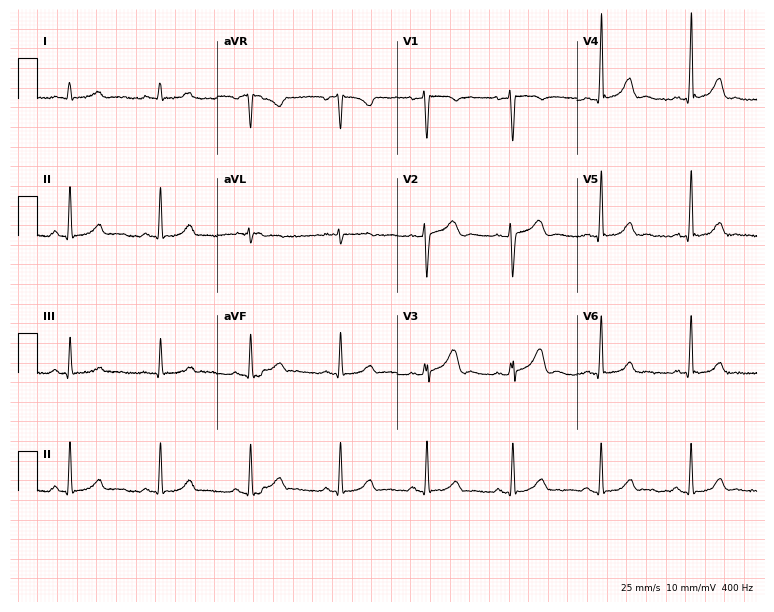
12-lead ECG (7.3-second recording at 400 Hz) from a man, 46 years old. Screened for six findings — first-degree AV block, right bundle branch block, left bundle branch block, sinus bradycardia, atrial fibrillation, sinus tachycardia — none is recorded. Findings outside these six are not listed.